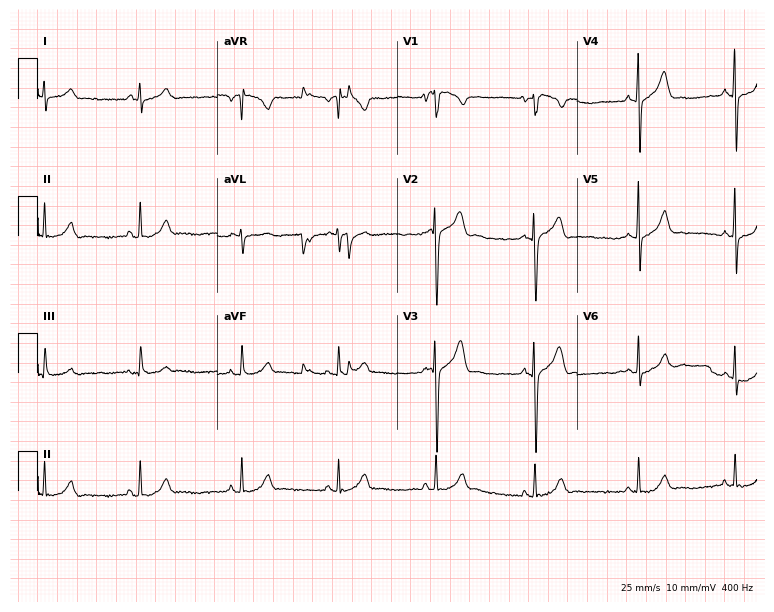
Standard 12-lead ECG recorded from a man, 31 years old. Read as a normal ECG.